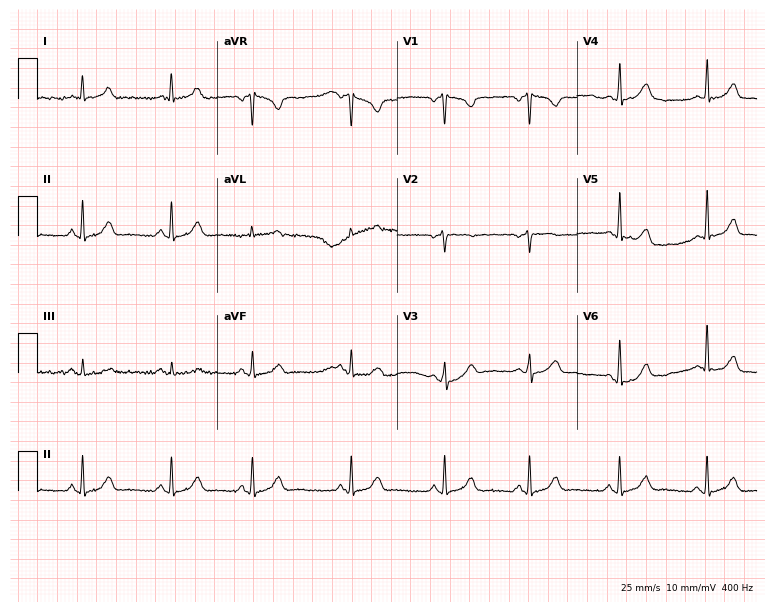
ECG (7.3-second recording at 400 Hz) — a 37-year-old female patient. Labelled as a normal ECG.